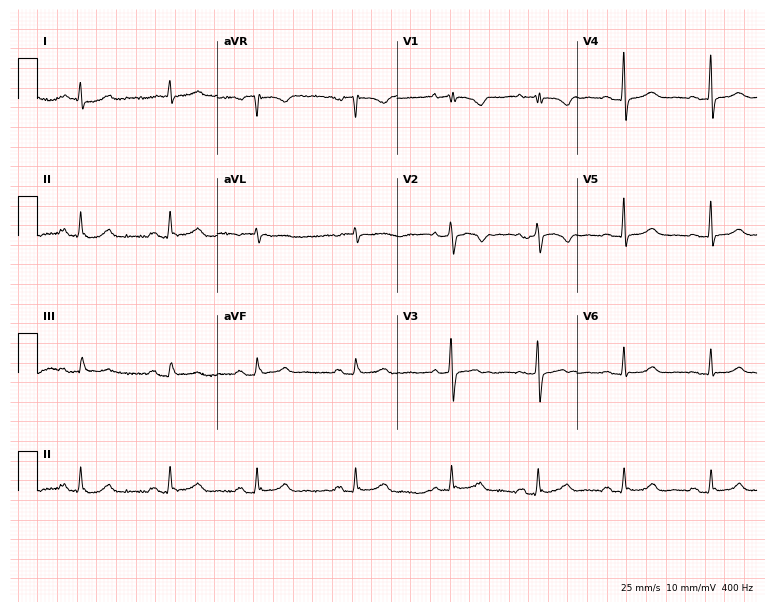
12-lead ECG from a 73-year-old female patient. Labelled as a normal ECG.